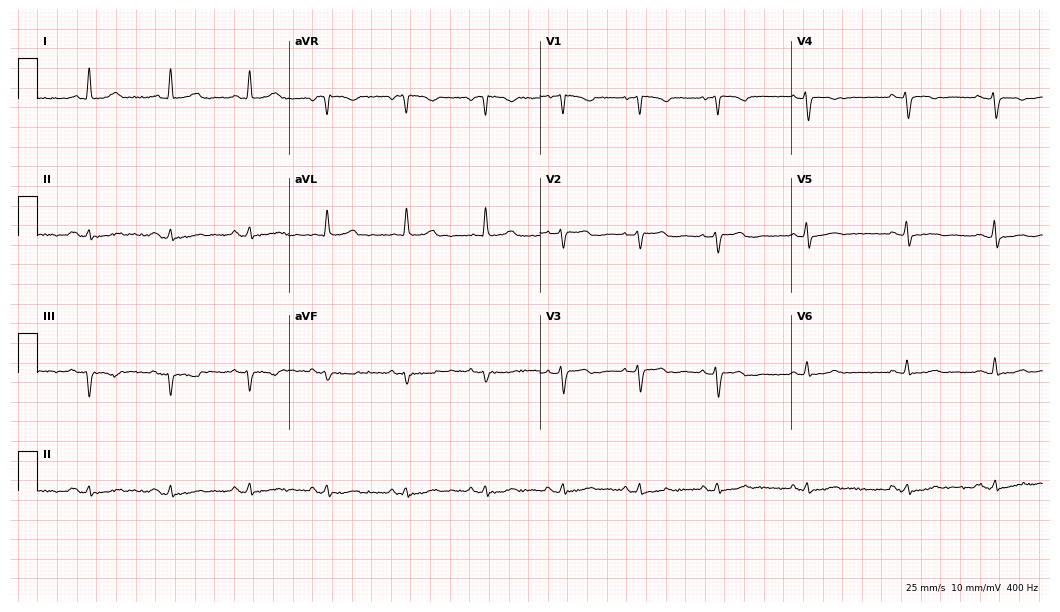
ECG (10.2-second recording at 400 Hz) — a 77-year-old female. Screened for six findings — first-degree AV block, right bundle branch block, left bundle branch block, sinus bradycardia, atrial fibrillation, sinus tachycardia — none is recorded.